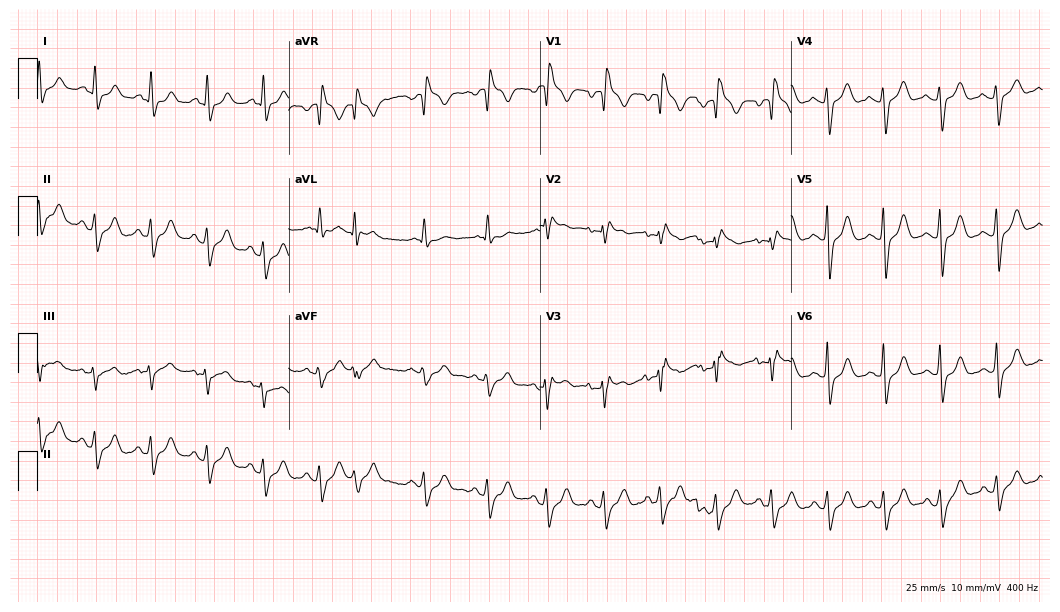
ECG (10.2-second recording at 400 Hz) — a 38-year-old male patient. Findings include sinus tachycardia (a sinus rate of 100 beats per minute or more).